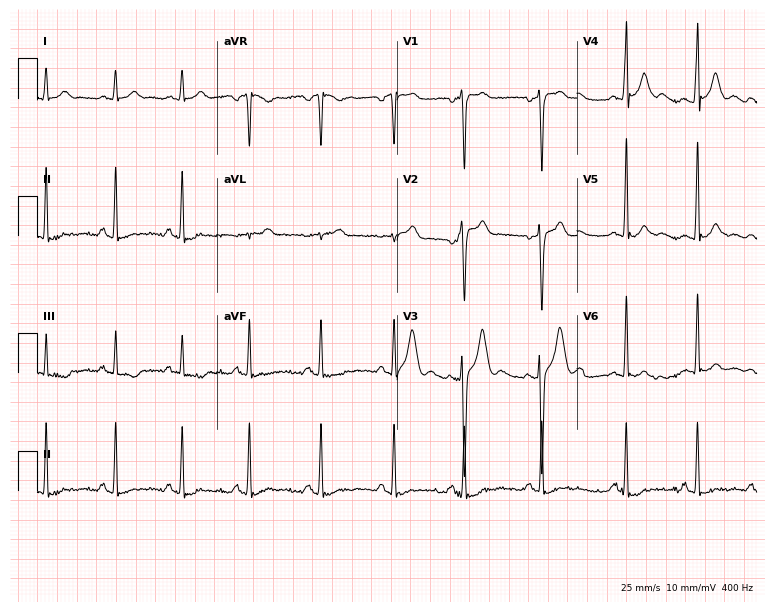
Electrocardiogram (7.3-second recording at 400 Hz), a 23-year-old man. Of the six screened findings (first-degree AV block, right bundle branch block, left bundle branch block, sinus bradycardia, atrial fibrillation, sinus tachycardia), none is recorded.